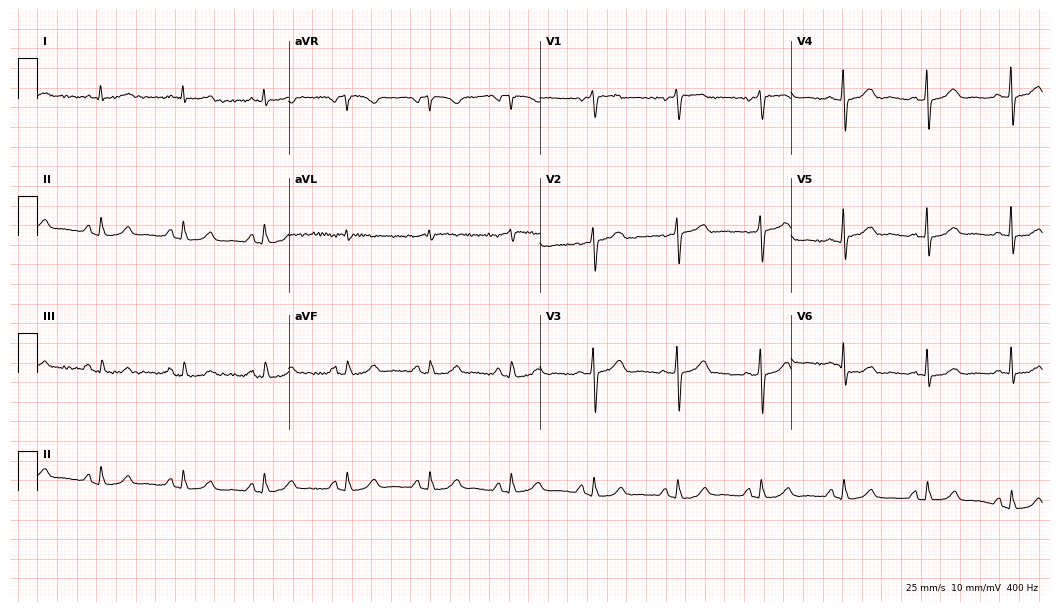
ECG (10.2-second recording at 400 Hz) — a 78-year-old male. Labelled as a normal ECG.